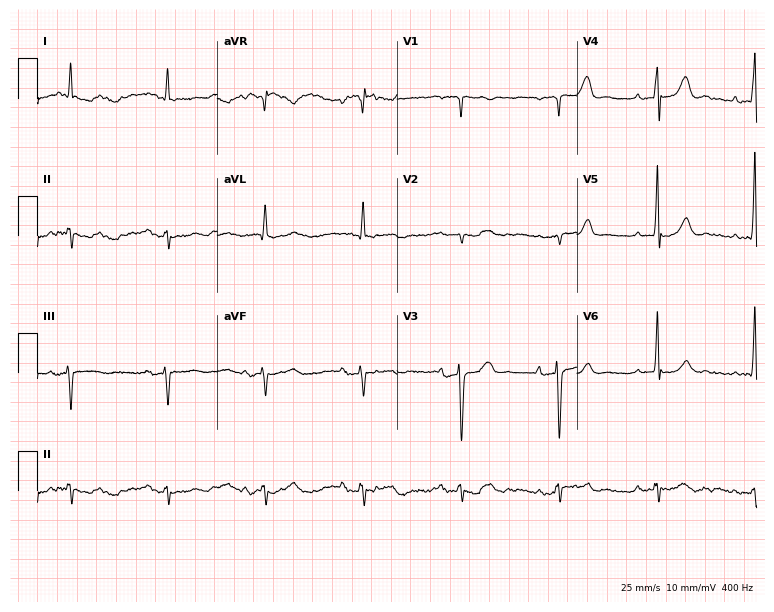
12-lead ECG from an 80-year-old male patient (7.3-second recording at 400 Hz). No first-degree AV block, right bundle branch block (RBBB), left bundle branch block (LBBB), sinus bradycardia, atrial fibrillation (AF) or sinus tachycardia recorded for this tracing.